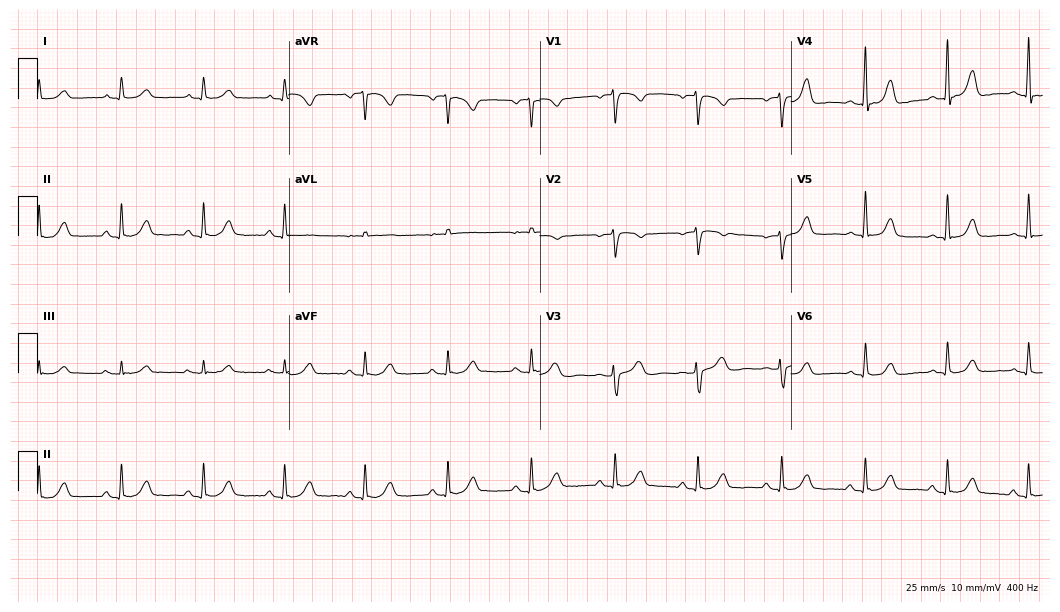
Standard 12-lead ECG recorded from a woman, 75 years old (10.2-second recording at 400 Hz). None of these six findings is recorded: first-degree AV block, right bundle branch block, left bundle branch block, sinus bradycardia, atrial fibrillation, sinus tachycardia. Other findings, if any, are not listed.